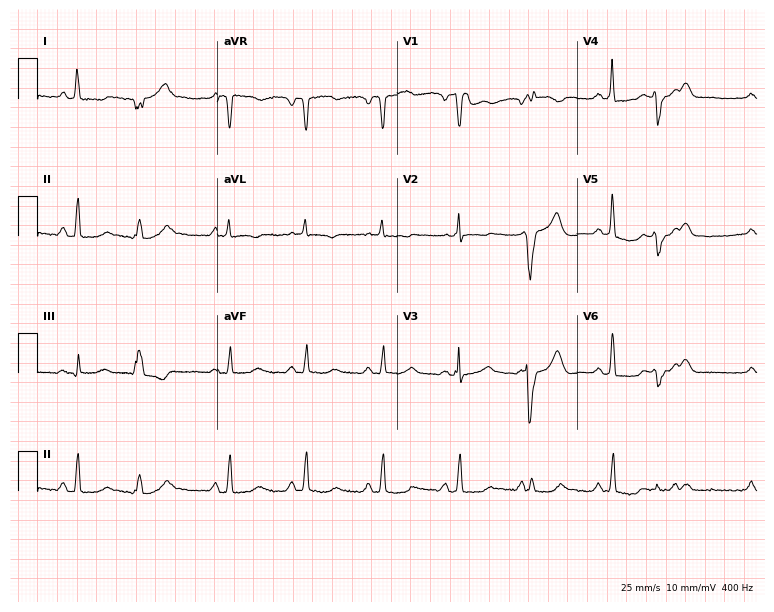
ECG (7.3-second recording at 400 Hz) — a 74-year-old woman. Screened for six findings — first-degree AV block, right bundle branch block, left bundle branch block, sinus bradycardia, atrial fibrillation, sinus tachycardia — none is recorded.